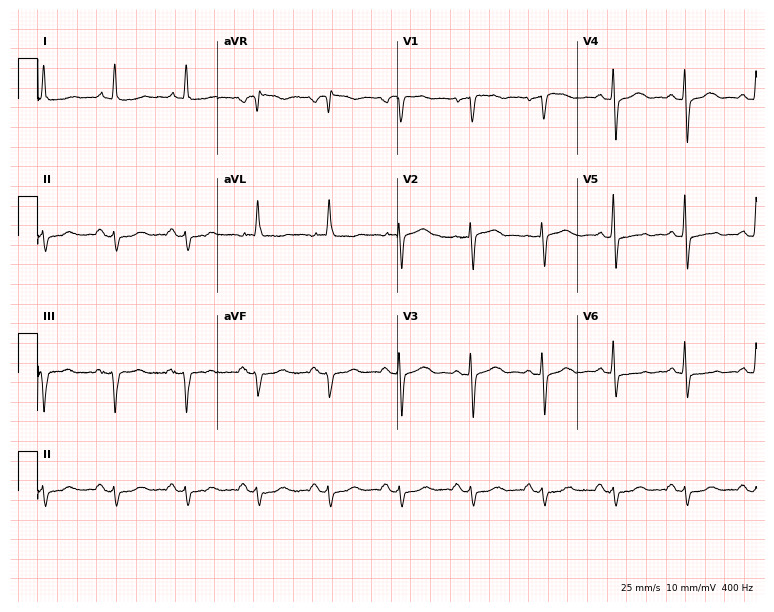
ECG (7.3-second recording at 400 Hz) — a 78-year-old woman. Screened for six findings — first-degree AV block, right bundle branch block, left bundle branch block, sinus bradycardia, atrial fibrillation, sinus tachycardia — none is recorded. Only these six findings were labelled.